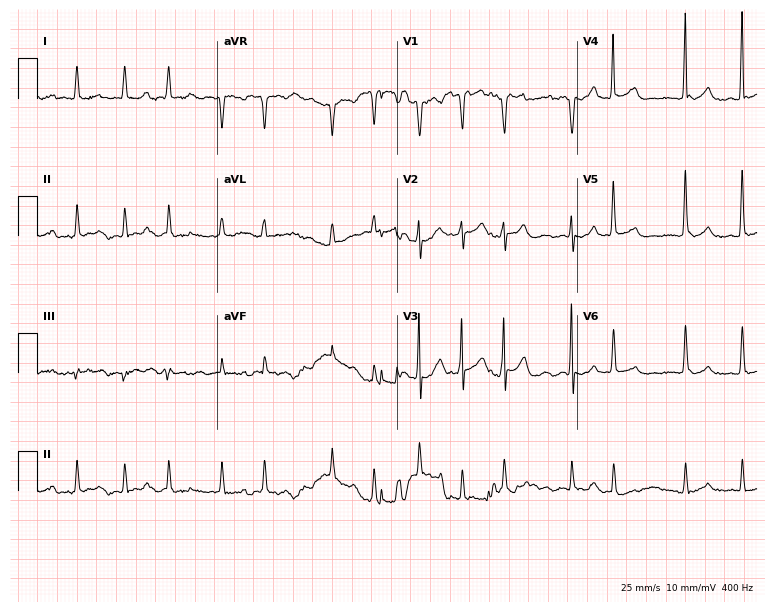
Electrocardiogram (7.3-second recording at 400 Hz), a female, 74 years old. Interpretation includes atrial fibrillation.